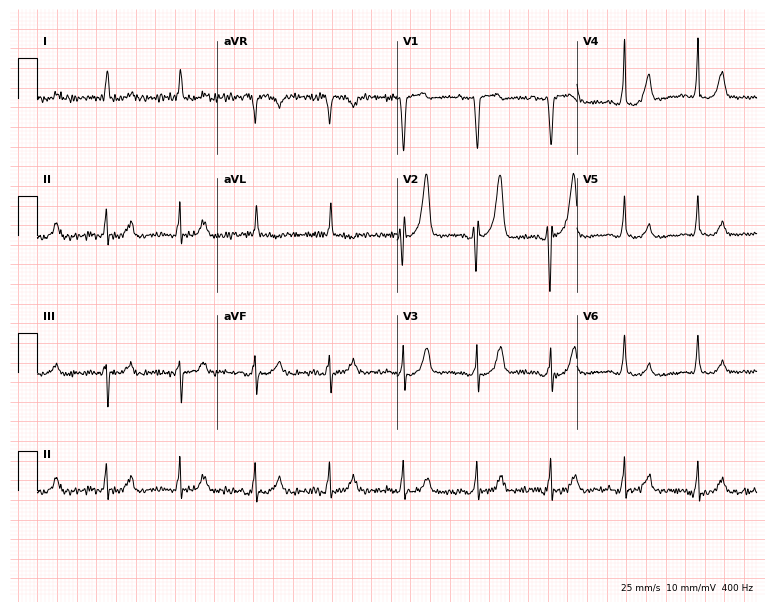
ECG — a 79-year-old female. Screened for six findings — first-degree AV block, right bundle branch block, left bundle branch block, sinus bradycardia, atrial fibrillation, sinus tachycardia — none is recorded.